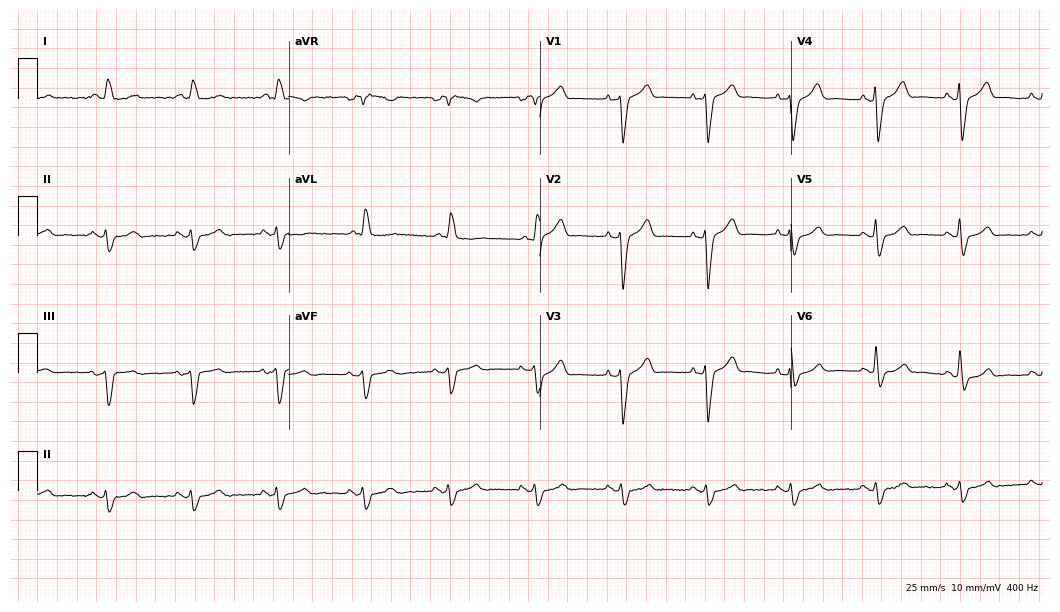
Standard 12-lead ECG recorded from a 75-year-old woman (10.2-second recording at 400 Hz). The tracing shows left bundle branch block.